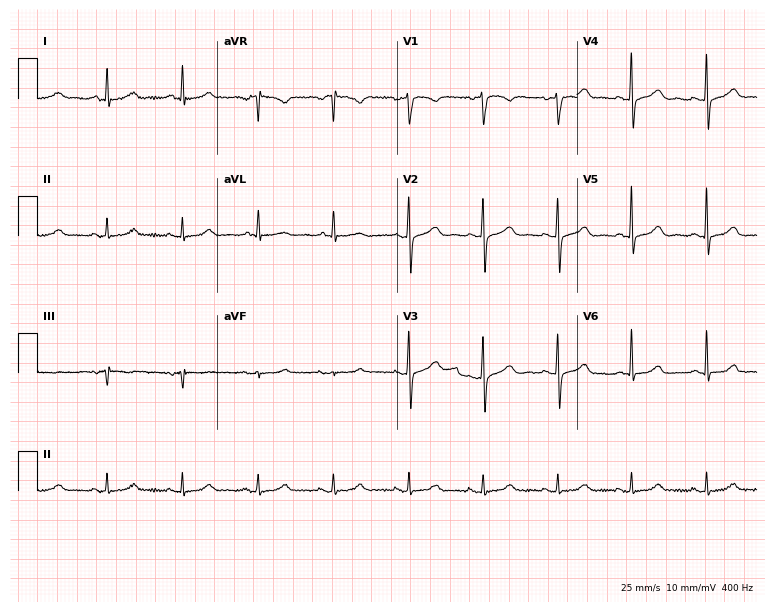
12-lead ECG from a 58-year-old woman. No first-degree AV block, right bundle branch block (RBBB), left bundle branch block (LBBB), sinus bradycardia, atrial fibrillation (AF) or sinus tachycardia recorded for this tracing. Other findings, if any, are not listed.